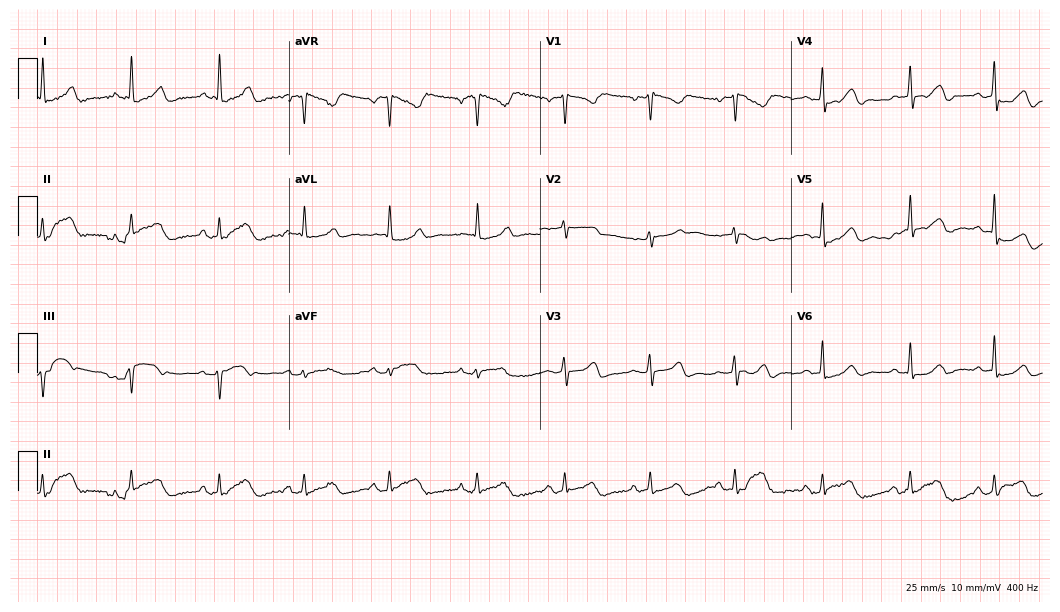
Standard 12-lead ECG recorded from a woman, 59 years old. None of these six findings is recorded: first-degree AV block, right bundle branch block, left bundle branch block, sinus bradycardia, atrial fibrillation, sinus tachycardia.